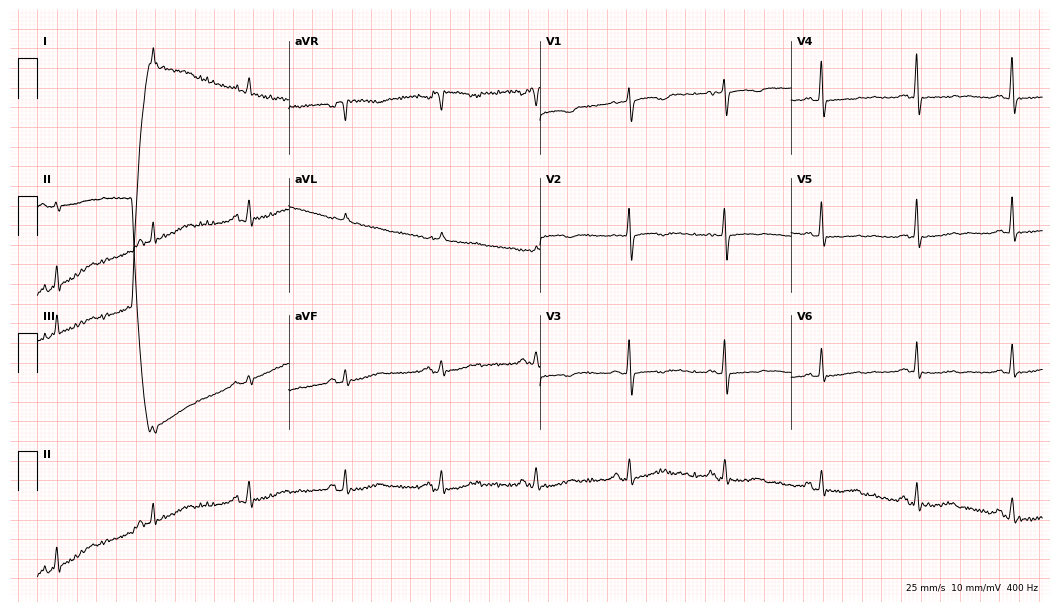
ECG — a female, 73 years old. Screened for six findings — first-degree AV block, right bundle branch block (RBBB), left bundle branch block (LBBB), sinus bradycardia, atrial fibrillation (AF), sinus tachycardia — none is recorded.